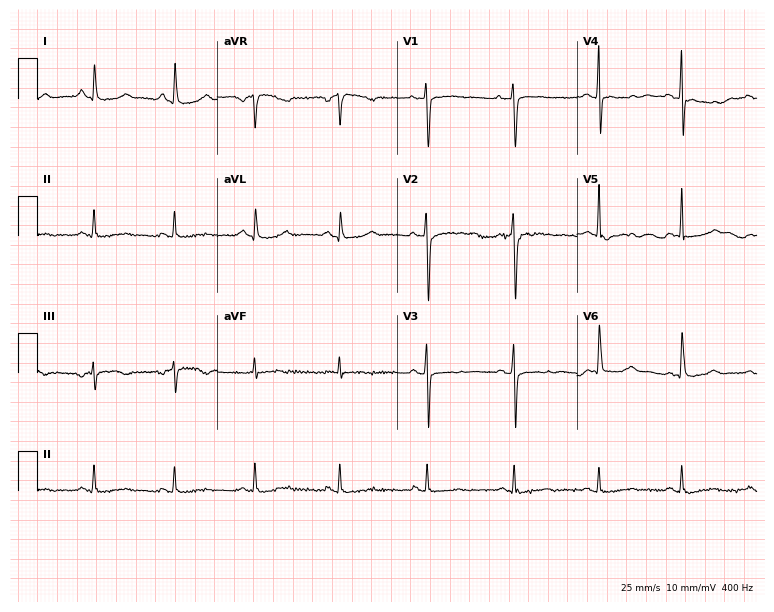
Standard 12-lead ECG recorded from a woman, 74 years old (7.3-second recording at 400 Hz). None of these six findings is recorded: first-degree AV block, right bundle branch block (RBBB), left bundle branch block (LBBB), sinus bradycardia, atrial fibrillation (AF), sinus tachycardia.